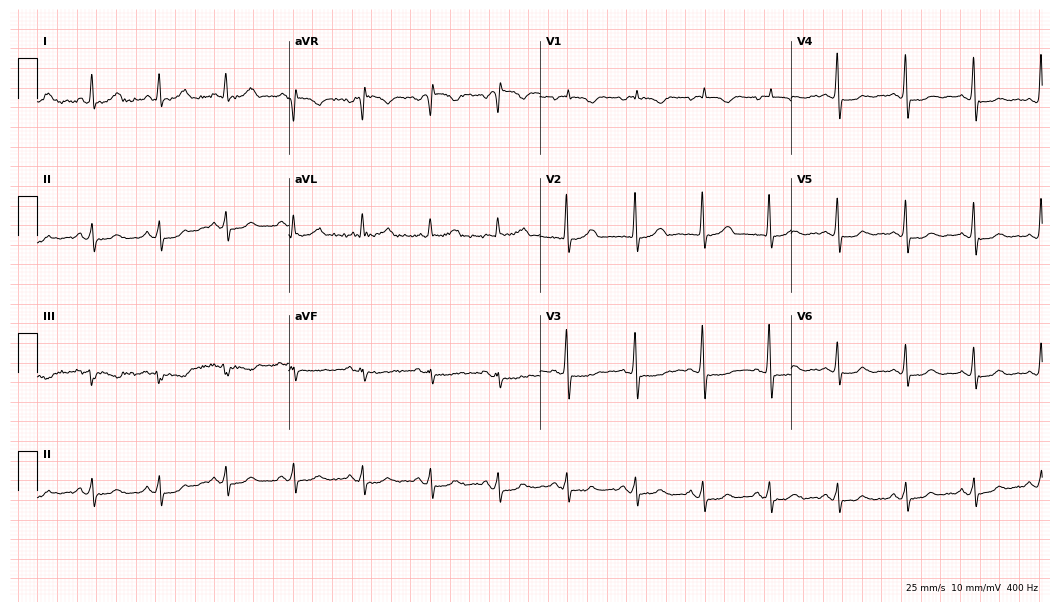
Electrocardiogram, a female patient, 60 years old. Overall reading on record: normal ECG.